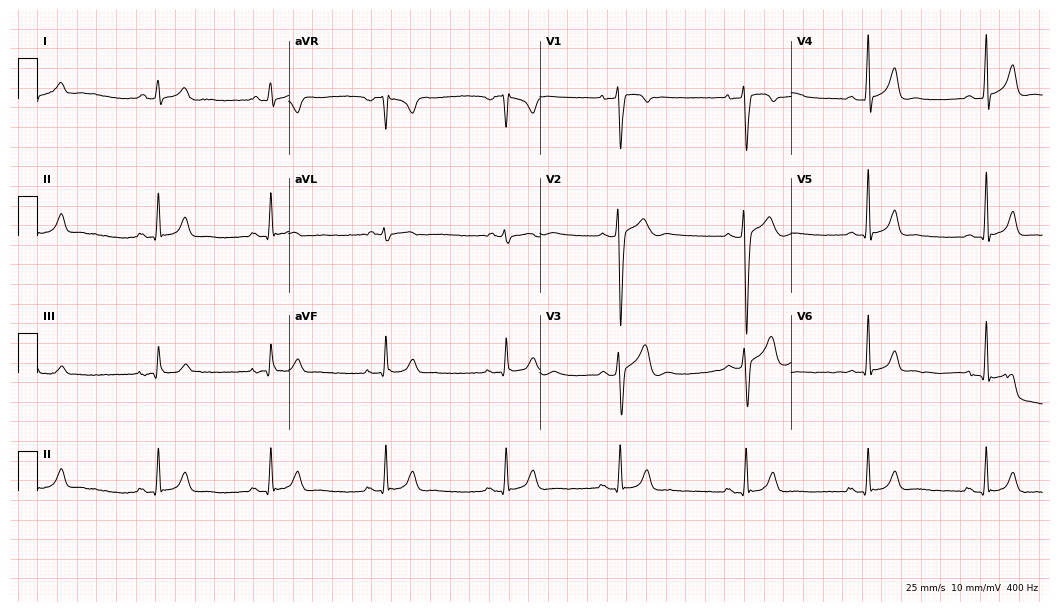
12-lead ECG from a 29-year-old male. No first-degree AV block, right bundle branch block, left bundle branch block, sinus bradycardia, atrial fibrillation or sinus tachycardia recorded for this tracing.